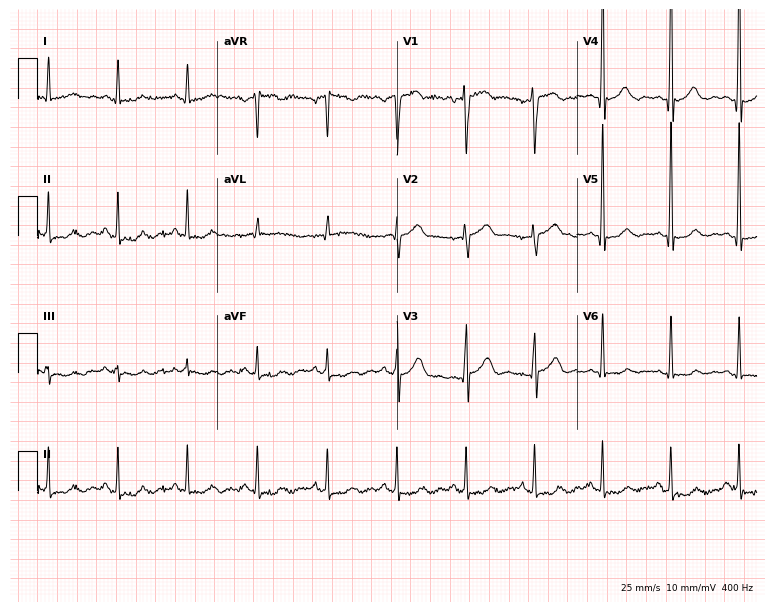
Standard 12-lead ECG recorded from a 73-year-old male patient (7.3-second recording at 400 Hz). Read as a normal ECG.